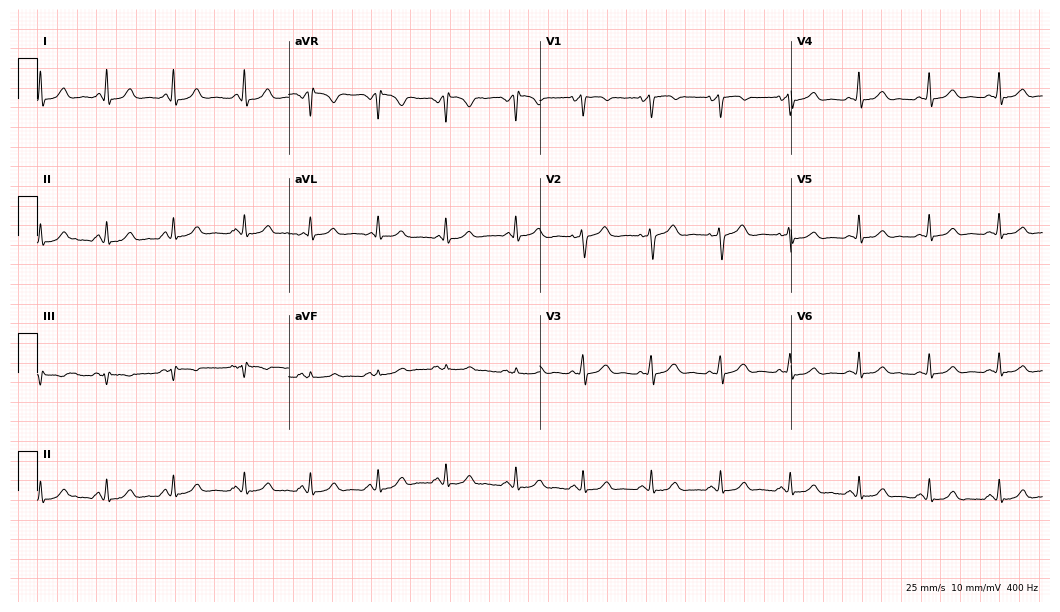
12-lead ECG from a female, 38 years old. Screened for six findings — first-degree AV block, right bundle branch block, left bundle branch block, sinus bradycardia, atrial fibrillation, sinus tachycardia — none is recorded. Findings outside these six are not listed.